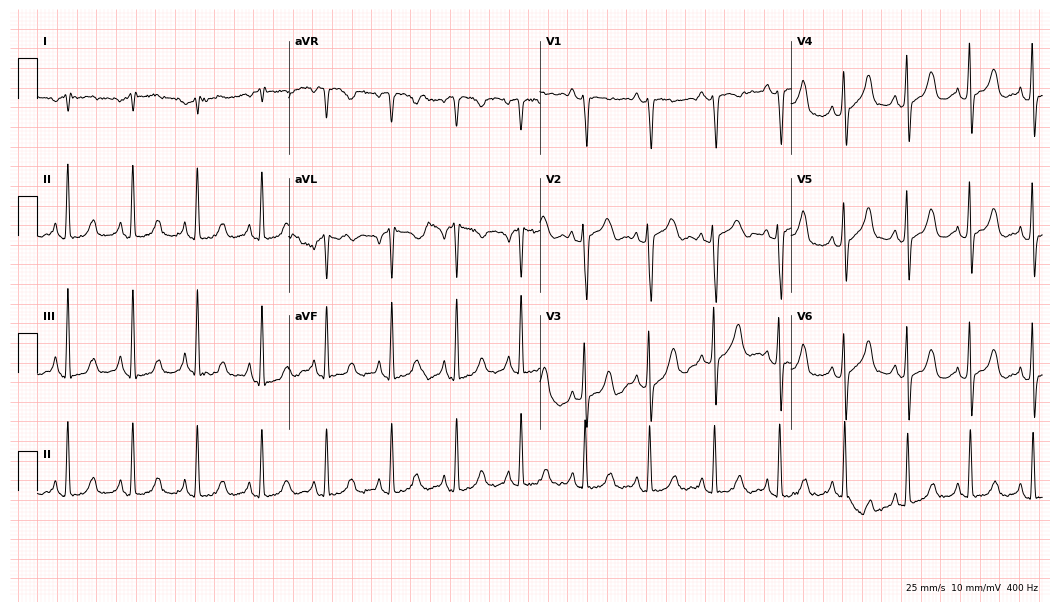
Standard 12-lead ECG recorded from a female, 77 years old. None of these six findings is recorded: first-degree AV block, right bundle branch block (RBBB), left bundle branch block (LBBB), sinus bradycardia, atrial fibrillation (AF), sinus tachycardia. Only these six findings were labelled.